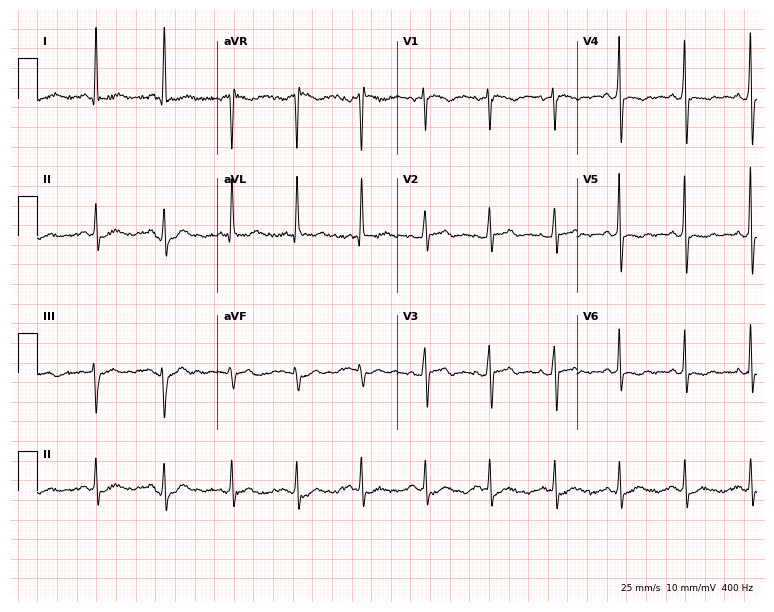
12-lead ECG from a female, 77 years old. Screened for six findings — first-degree AV block, right bundle branch block, left bundle branch block, sinus bradycardia, atrial fibrillation, sinus tachycardia — none is recorded.